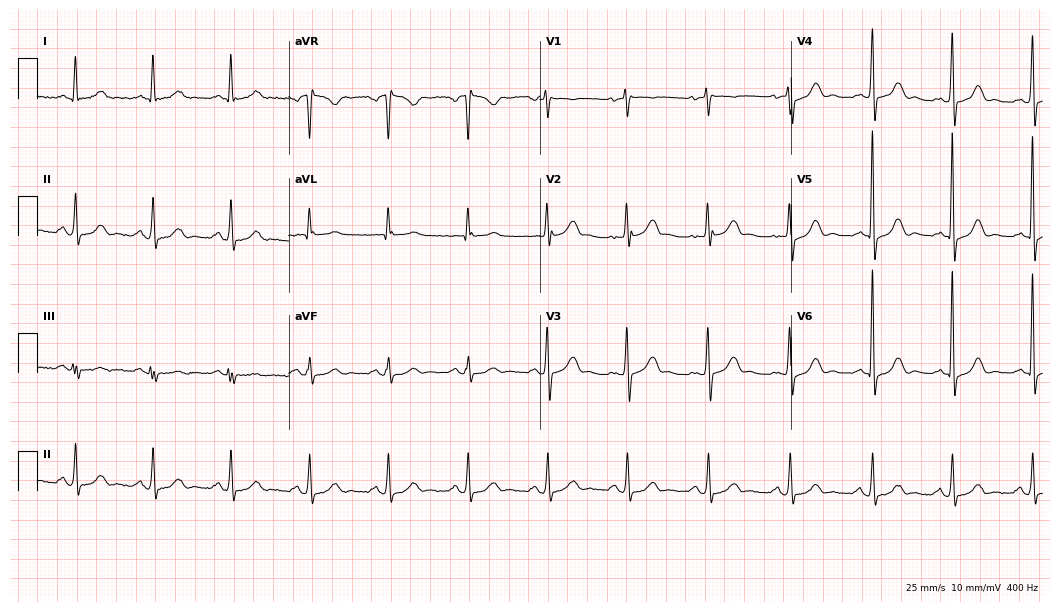
12-lead ECG from a male, 83 years old. Recorded interpretation: within normal limits.